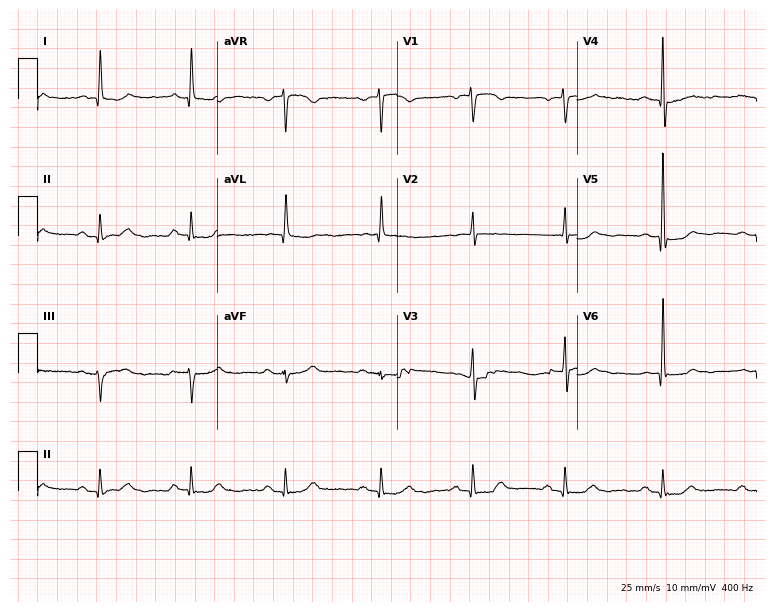
12-lead ECG from a female patient, 70 years old (7.3-second recording at 400 Hz). No first-degree AV block, right bundle branch block (RBBB), left bundle branch block (LBBB), sinus bradycardia, atrial fibrillation (AF) or sinus tachycardia recorded for this tracing.